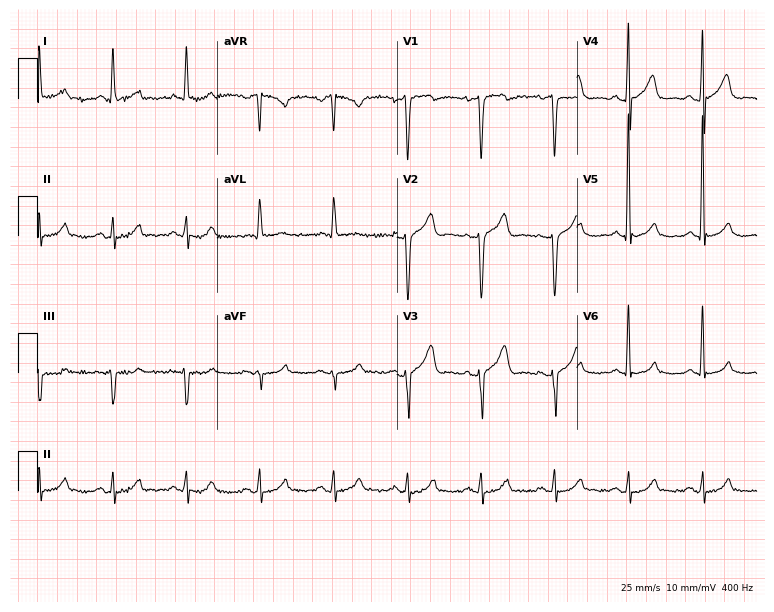
12-lead ECG from a 71-year-old male (7.3-second recording at 400 Hz). No first-degree AV block, right bundle branch block, left bundle branch block, sinus bradycardia, atrial fibrillation or sinus tachycardia recorded for this tracing.